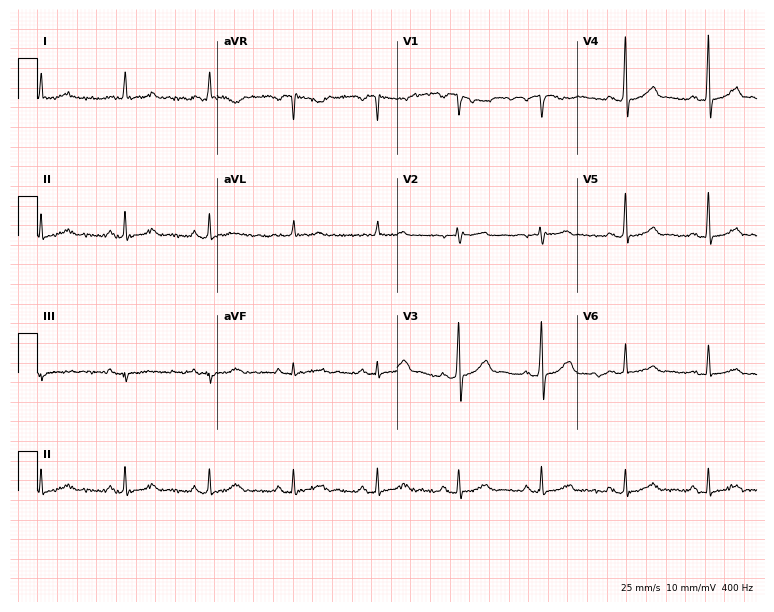
ECG — a 62-year-old male patient. Labelled as a normal ECG.